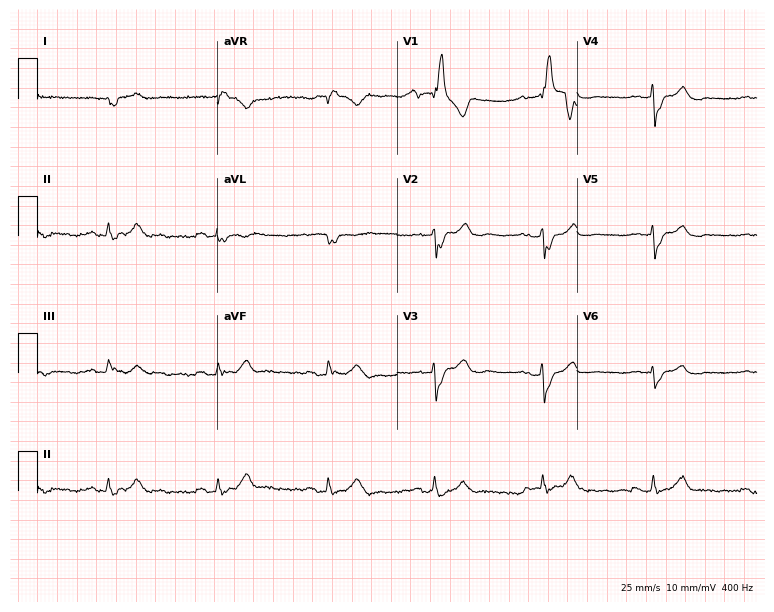
ECG — a 61-year-old male patient. Findings include right bundle branch block.